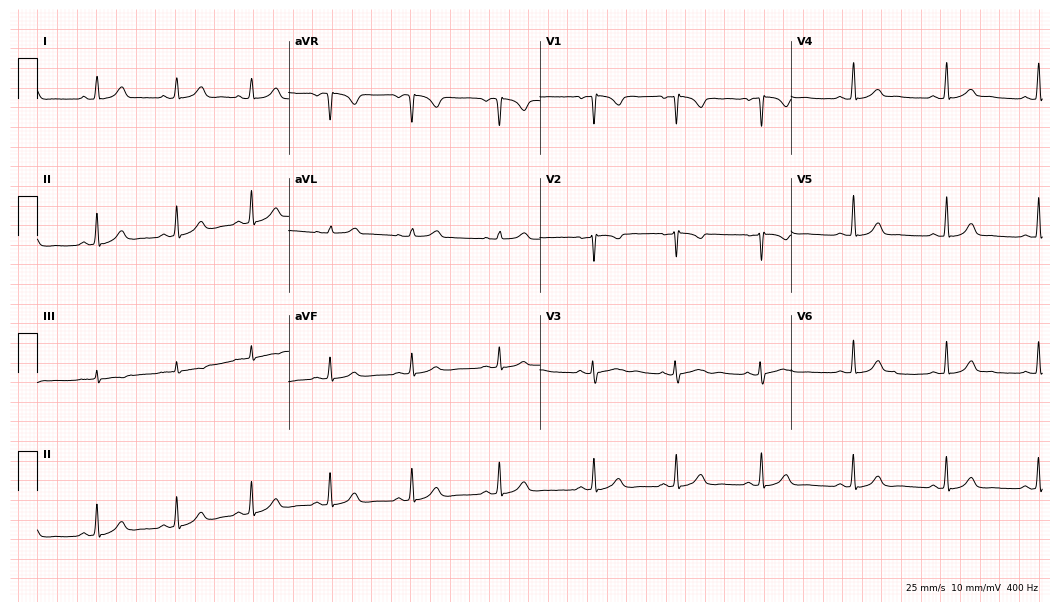
Standard 12-lead ECG recorded from a 21-year-old female (10.2-second recording at 400 Hz). Read as a normal ECG.